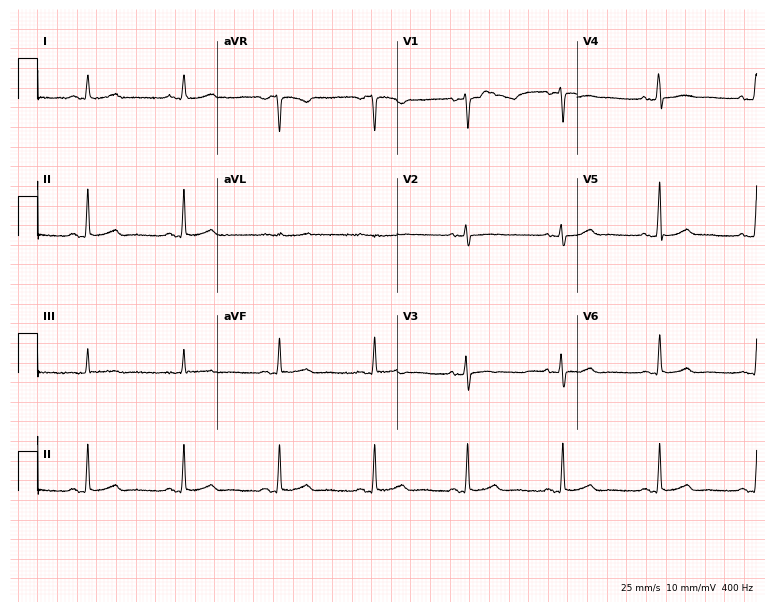
Resting 12-lead electrocardiogram (7.3-second recording at 400 Hz). Patient: a 38-year-old female. None of these six findings is recorded: first-degree AV block, right bundle branch block, left bundle branch block, sinus bradycardia, atrial fibrillation, sinus tachycardia.